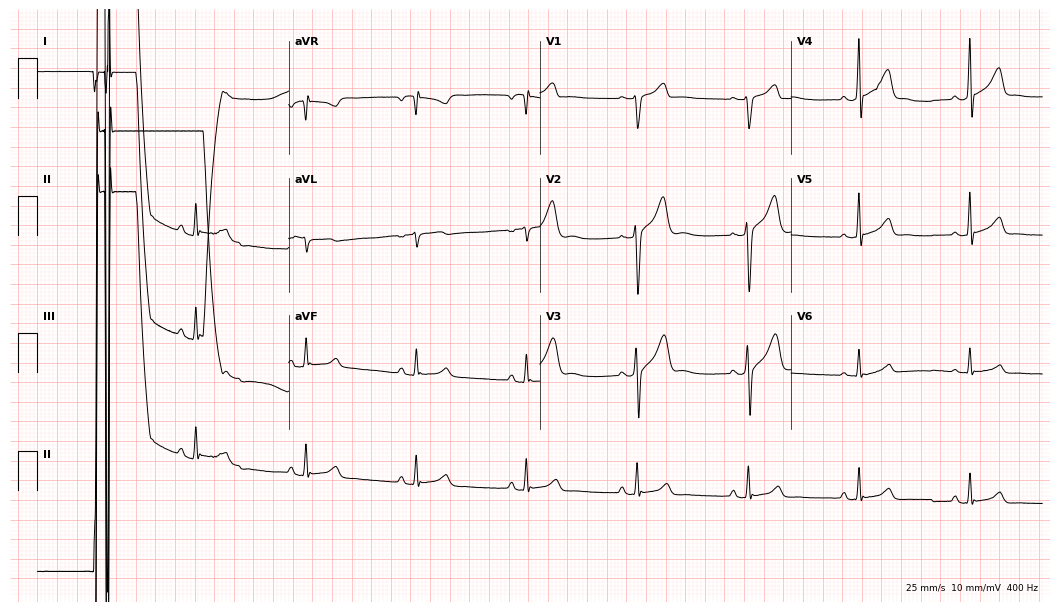
Electrocardiogram, a male patient, 31 years old. Overall reading on record: normal ECG.